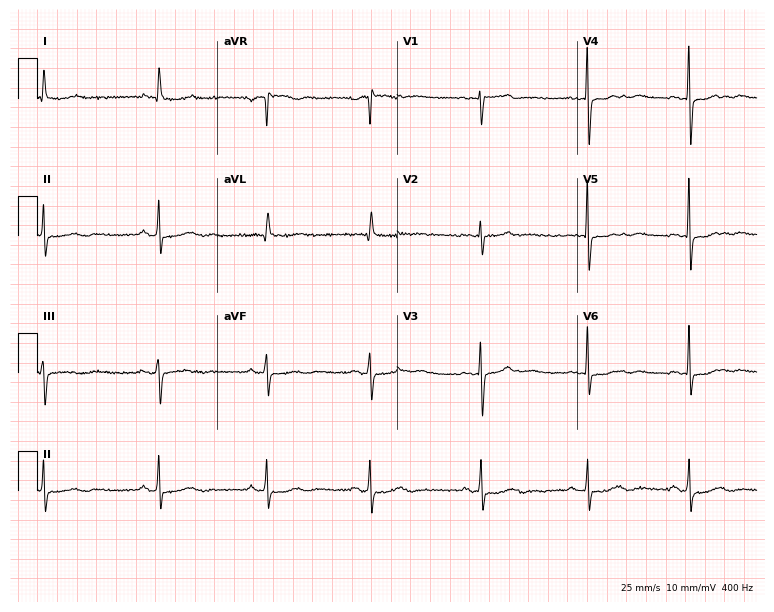
12-lead ECG (7.3-second recording at 400 Hz) from a 63-year-old female patient. Labelled as a normal ECG.